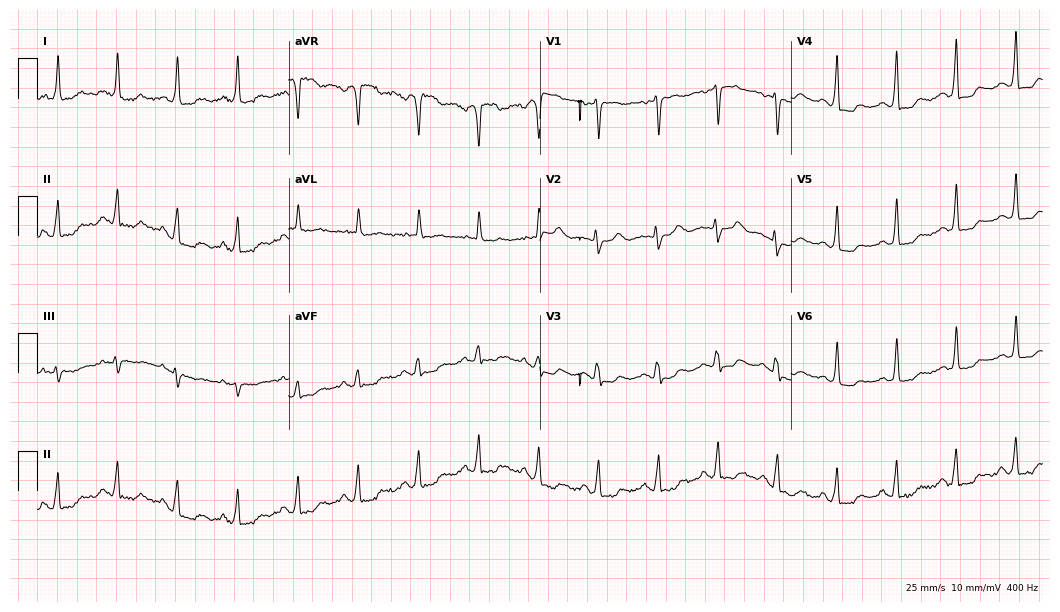
12-lead ECG (10.2-second recording at 400 Hz) from a 64-year-old female patient. Screened for six findings — first-degree AV block, right bundle branch block, left bundle branch block, sinus bradycardia, atrial fibrillation, sinus tachycardia — none is recorded. Findings outside these six are not listed.